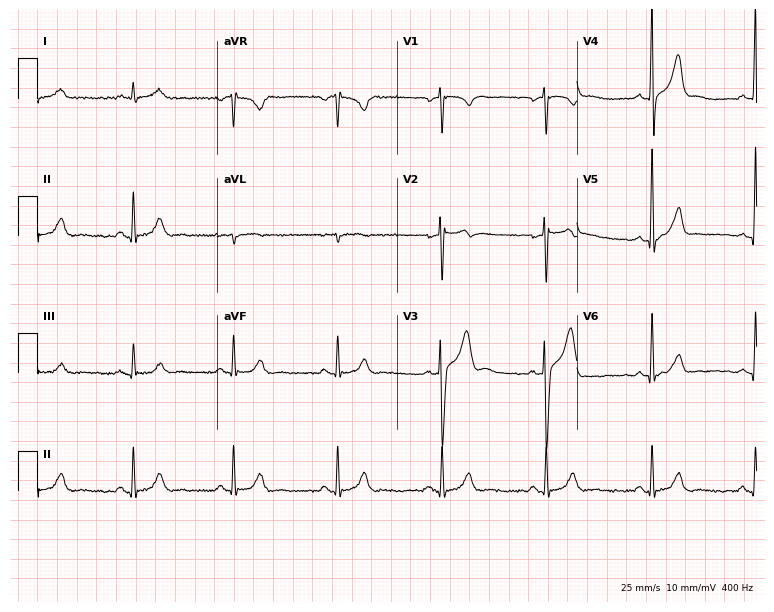
ECG (7.3-second recording at 400 Hz) — a 42-year-old male. Screened for six findings — first-degree AV block, right bundle branch block, left bundle branch block, sinus bradycardia, atrial fibrillation, sinus tachycardia — none is recorded.